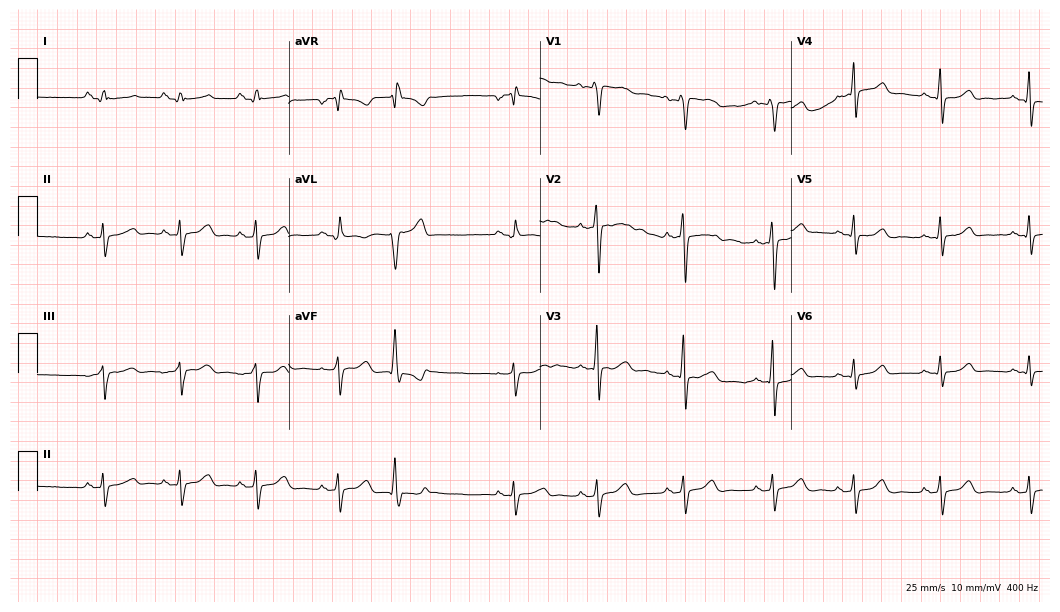
Electrocardiogram, a 22-year-old female. Of the six screened findings (first-degree AV block, right bundle branch block, left bundle branch block, sinus bradycardia, atrial fibrillation, sinus tachycardia), none is recorded. Other findings, if any, are not listed.